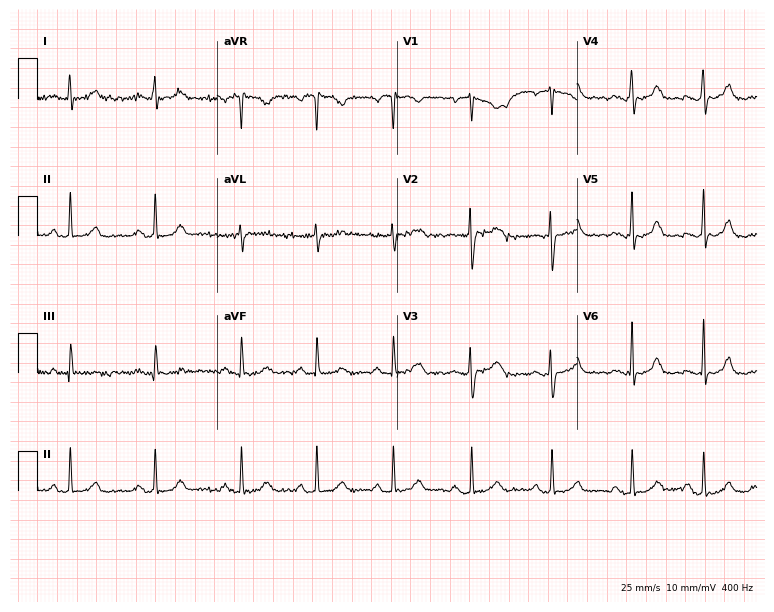
Electrocardiogram (7.3-second recording at 400 Hz), a female patient, 36 years old. Of the six screened findings (first-degree AV block, right bundle branch block, left bundle branch block, sinus bradycardia, atrial fibrillation, sinus tachycardia), none is recorded. Only these six findings were labelled.